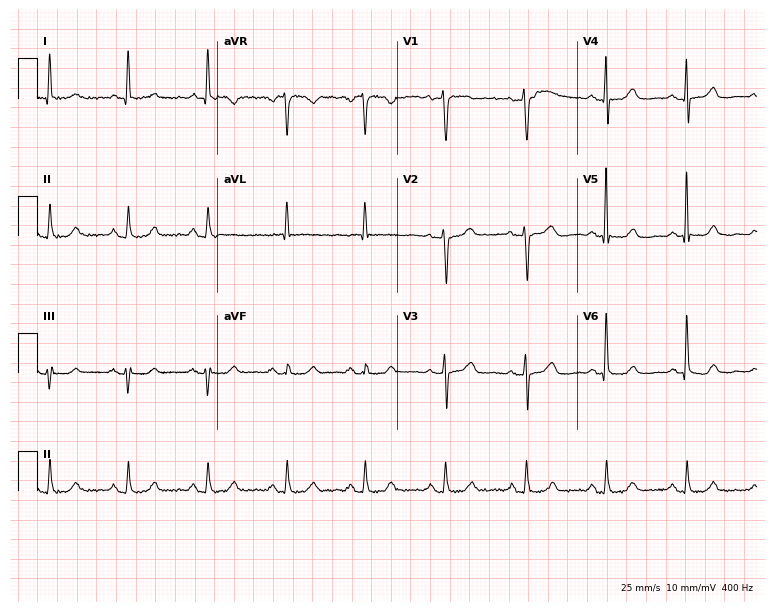
Electrocardiogram (7.3-second recording at 400 Hz), a woman, 65 years old. Of the six screened findings (first-degree AV block, right bundle branch block, left bundle branch block, sinus bradycardia, atrial fibrillation, sinus tachycardia), none is recorded. Only these six findings were labelled.